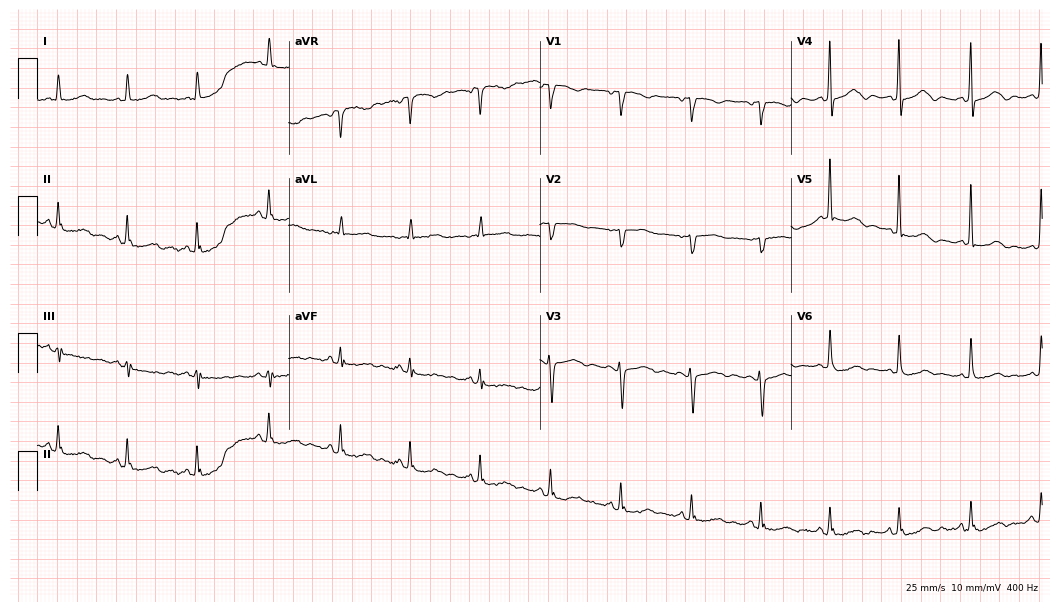
12-lead ECG from a female patient, 82 years old. Screened for six findings — first-degree AV block, right bundle branch block, left bundle branch block, sinus bradycardia, atrial fibrillation, sinus tachycardia — none is recorded.